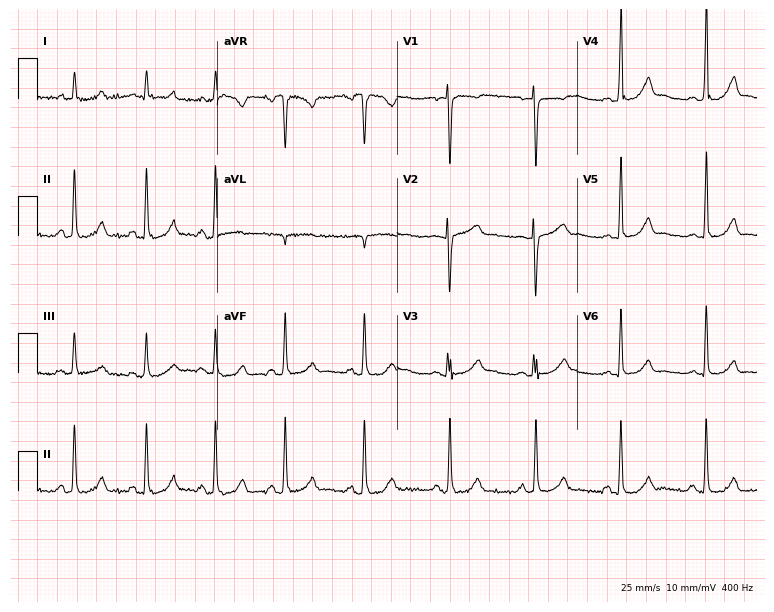
Standard 12-lead ECG recorded from a 40-year-old female (7.3-second recording at 400 Hz). Read as a normal ECG.